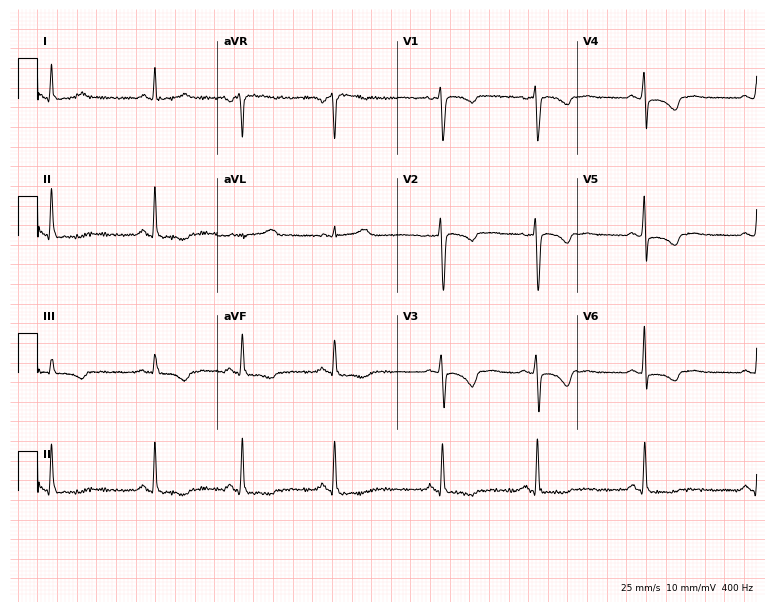
Resting 12-lead electrocardiogram (7.3-second recording at 400 Hz). Patient: a 42-year-old woman. Read as a normal ECG.